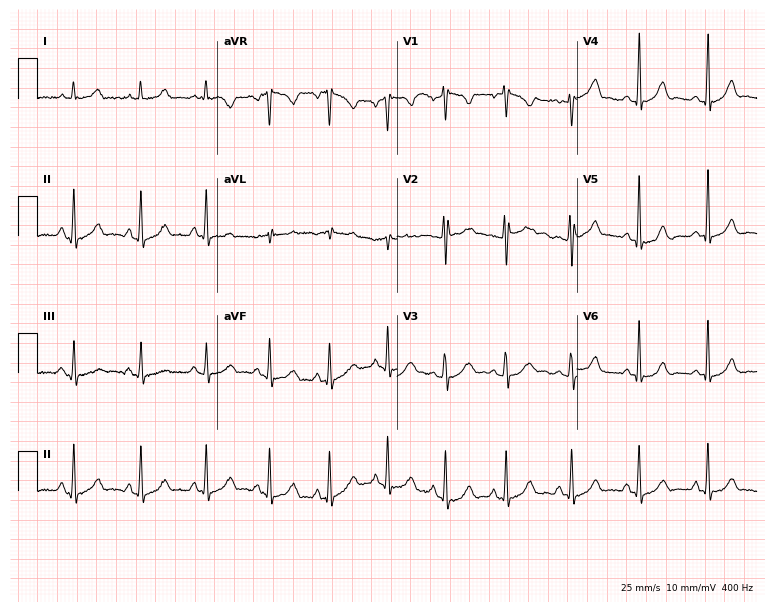
Resting 12-lead electrocardiogram (7.3-second recording at 400 Hz). Patient: a 25-year-old woman. None of these six findings is recorded: first-degree AV block, right bundle branch block, left bundle branch block, sinus bradycardia, atrial fibrillation, sinus tachycardia. Other findings, if any, are not listed.